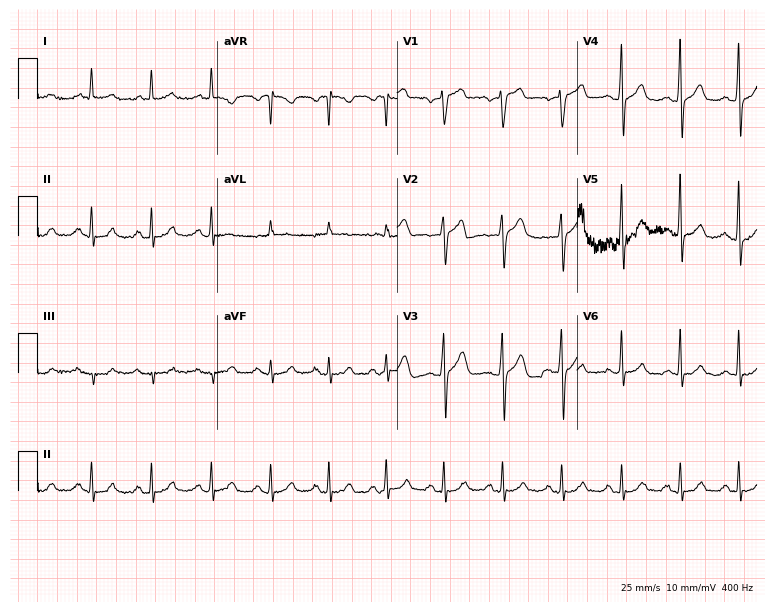
Electrocardiogram (7.3-second recording at 400 Hz), a 55-year-old man. Of the six screened findings (first-degree AV block, right bundle branch block (RBBB), left bundle branch block (LBBB), sinus bradycardia, atrial fibrillation (AF), sinus tachycardia), none is recorded. Only these six findings were labelled.